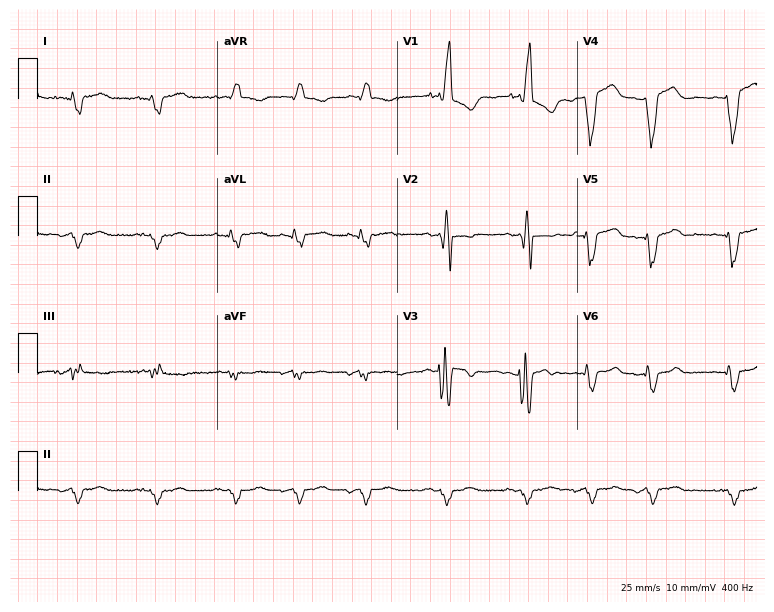
Electrocardiogram, a male patient, 50 years old. Interpretation includes right bundle branch block (RBBB).